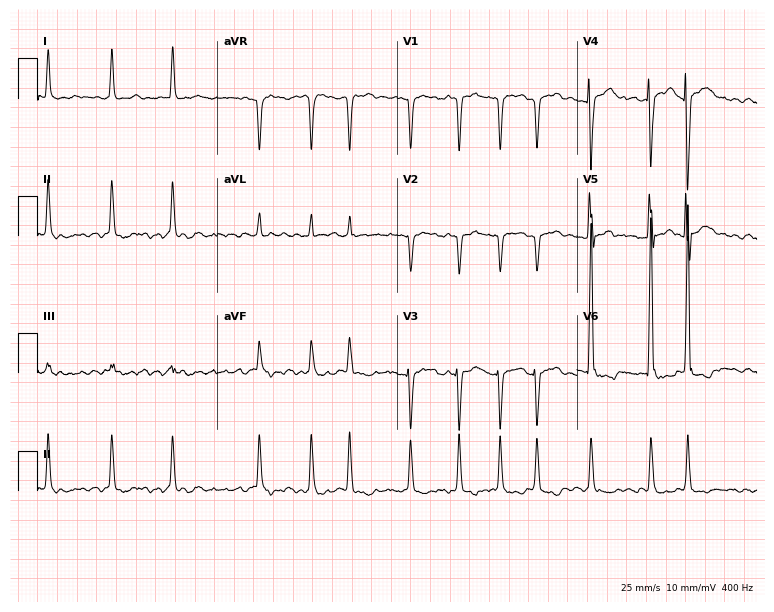
Resting 12-lead electrocardiogram (7.3-second recording at 400 Hz). Patient: a male, 78 years old. None of these six findings is recorded: first-degree AV block, right bundle branch block (RBBB), left bundle branch block (LBBB), sinus bradycardia, atrial fibrillation (AF), sinus tachycardia.